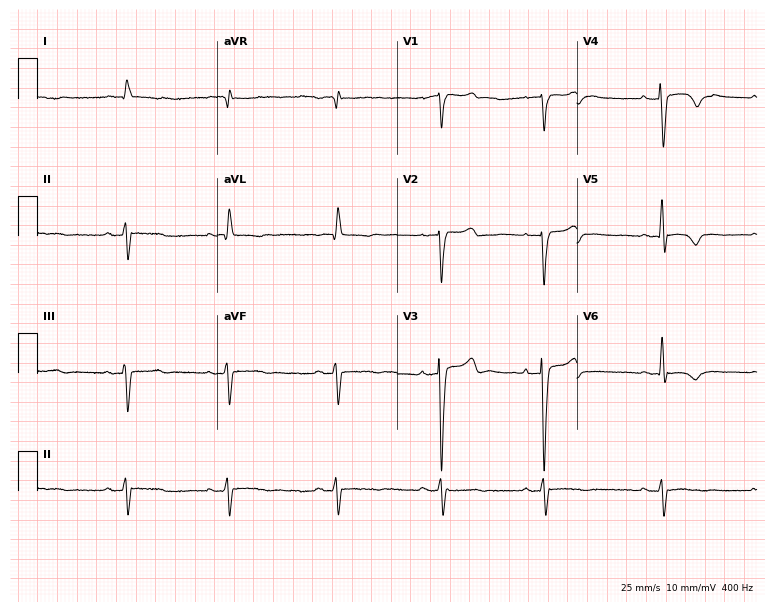
ECG — a 56-year-old male patient. Screened for six findings — first-degree AV block, right bundle branch block (RBBB), left bundle branch block (LBBB), sinus bradycardia, atrial fibrillation (AF), sinus tachycardia — none is recorded.